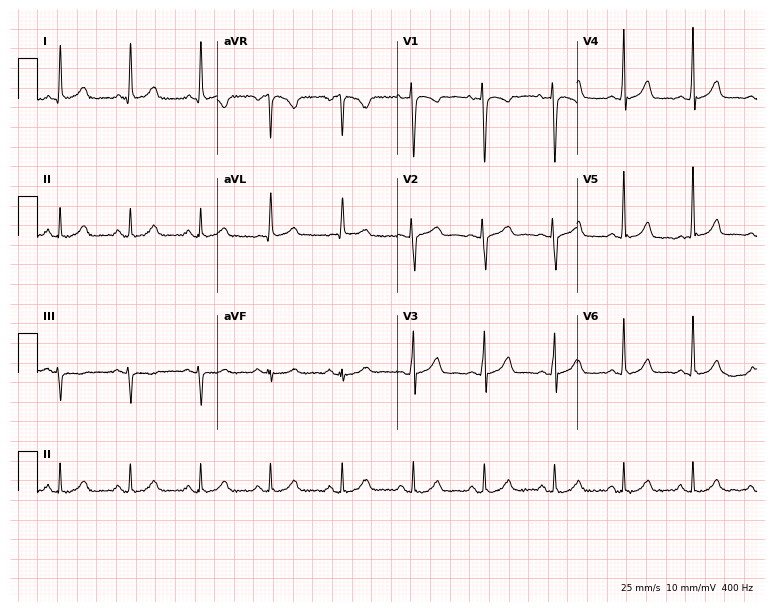
12-lead ECG from a 57-year-old woman (7.3-second recording at 400 Hz). No first-degree AV block, right bundle branch block, left bundle branch block, sinus bradycardia, atrial fibrillation or sinus tachycardia recorded for this tracing.